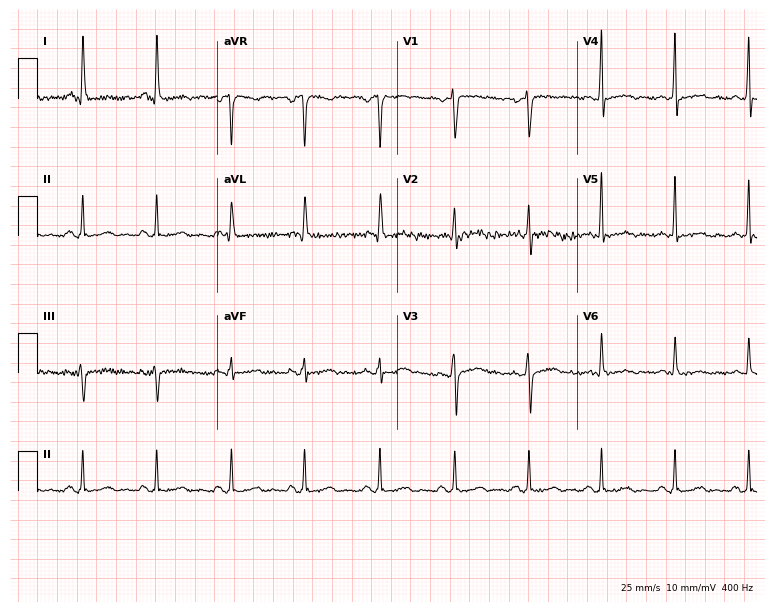
Resting 12-lead electrocardiogram (7.3-second recording at 400 Hz). Patient: a 56-year-old male. None of these six findings is recorded: first-degree AV block, right bundle branch block, left bundle branch block, sinus bradycardia, atrial fibrillation, sinus tachycardia. Other findings, if any, are not listed.